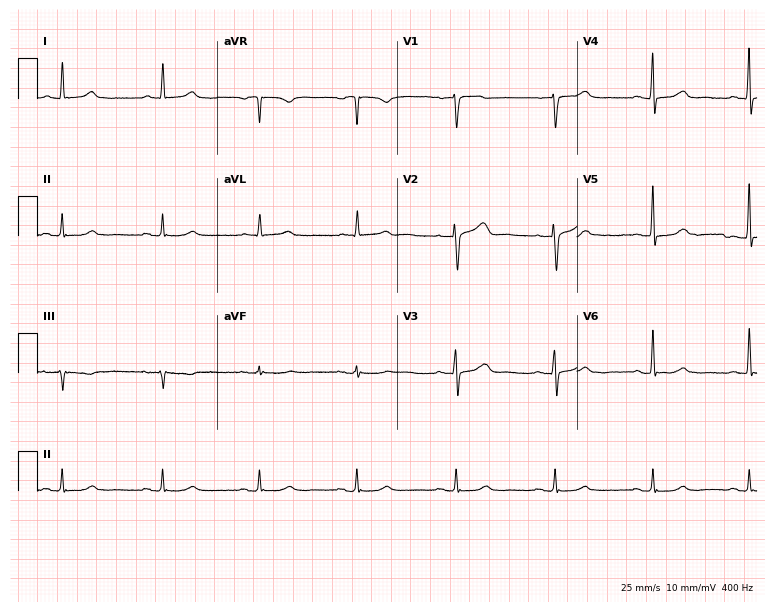
12-lead ECG (7.3-second recording at 400 Hz) from a 46-year-old woman. Screened for six findings — first-degree AV block, right bundle branch block, left bundle branch block, sinus bradycardia, atrial fibrillation, sinus tachycardia — none is recorded.